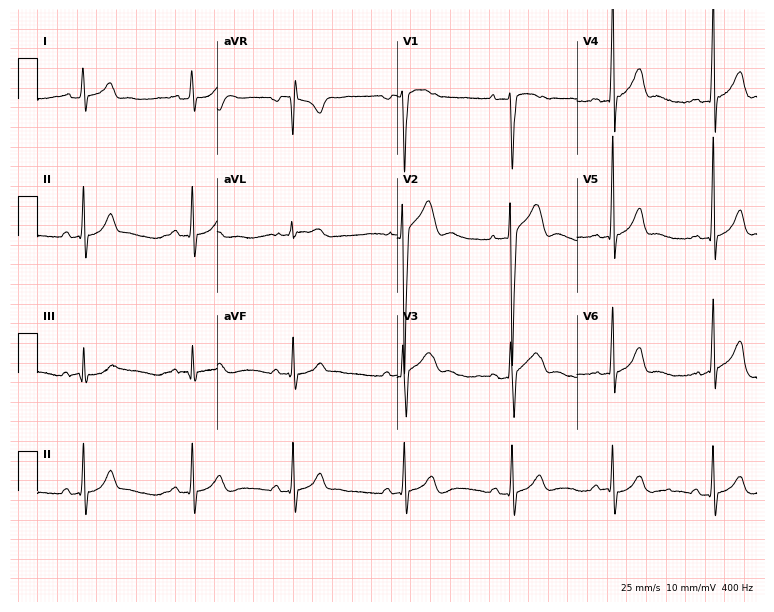
12-lead ECG (7.3-second recording at 400 Hz) from a male patient, 17 years old. Labelled as a normal ECG.